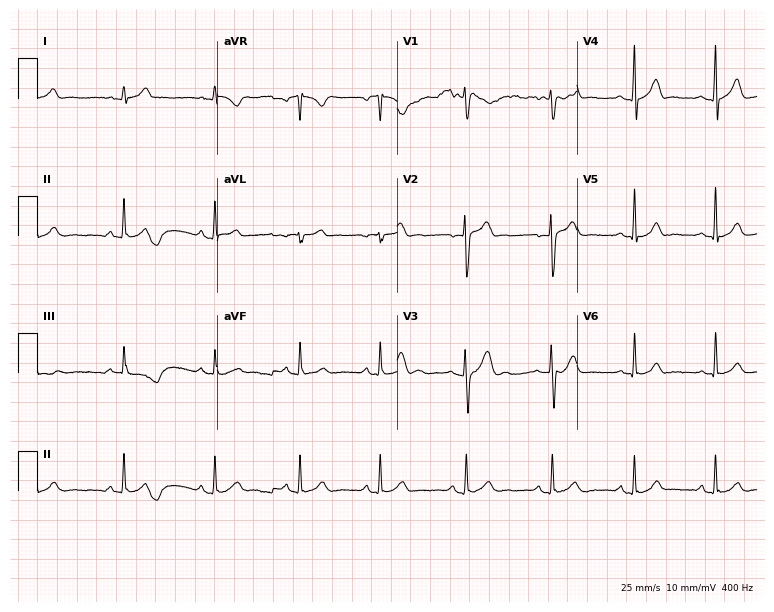
ECG — a 26-year-old male patient. Labelled as a normal ECG.